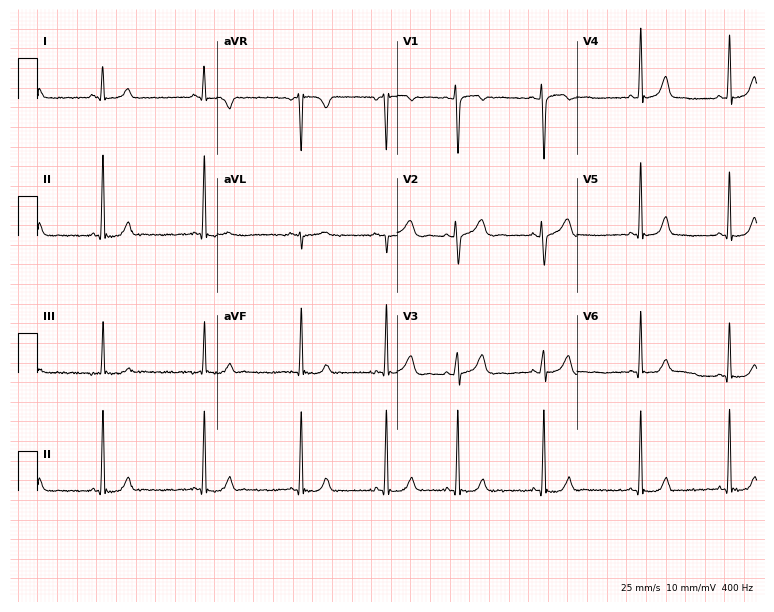
ECG — an 18-year-old female. Labelled as a normal ECG.